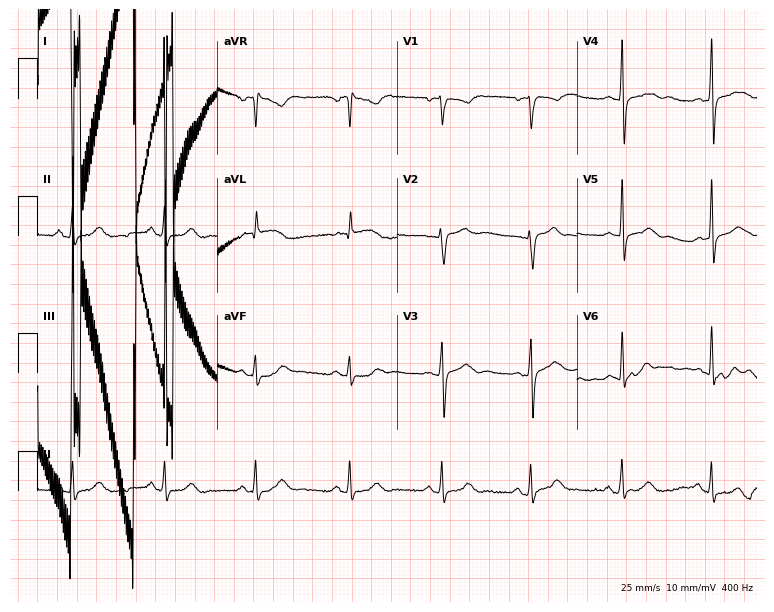
Electrocardiogram (7.3-second recording at 400 Hz), a female patient, 43 years old. Of the six screened findings (first-degree AV block, right bundle branch block, left bundle branch block, sinus bradycardia, atrial fibrillation, sinus tachycardia), none is recorded.